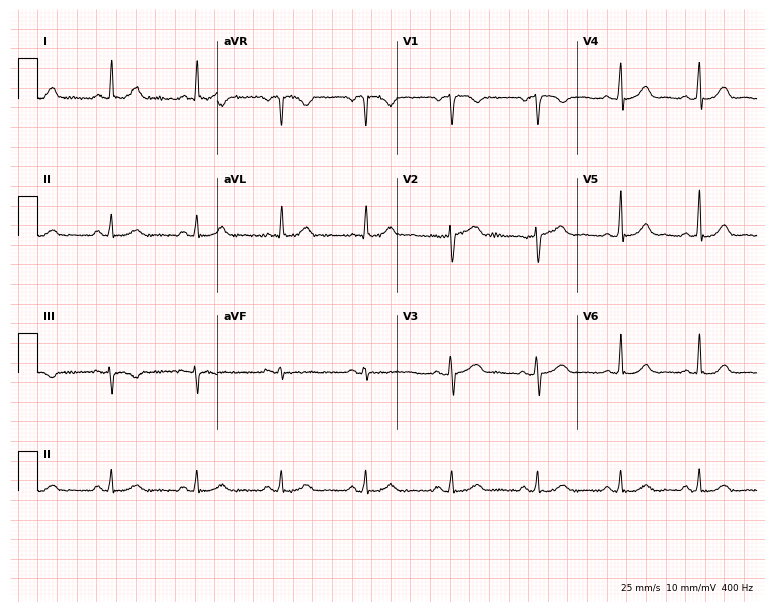
Standard 12-lead ECG recorded from a female, 50 years old. Read as a normal ECG.